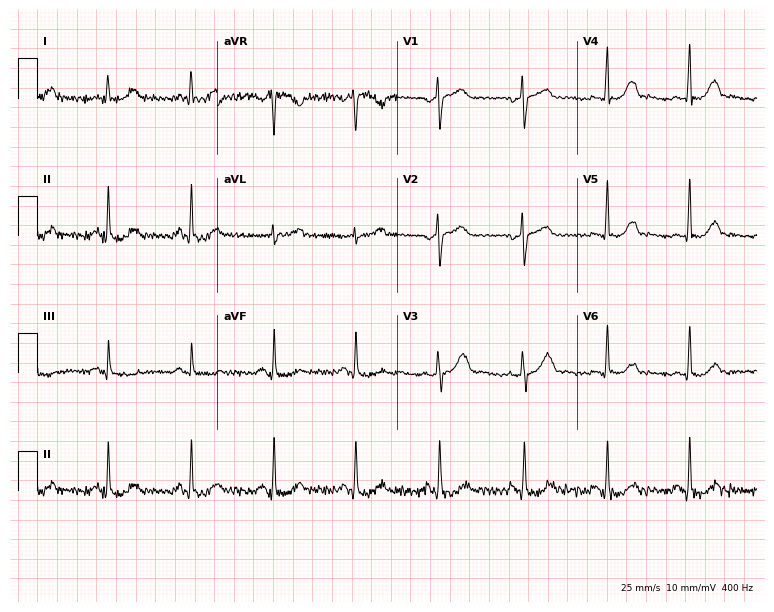
Electrocardiogram (7.3-second recording at 400 Hz), a 52-year-old female. Overall reading on record: normal ECG.